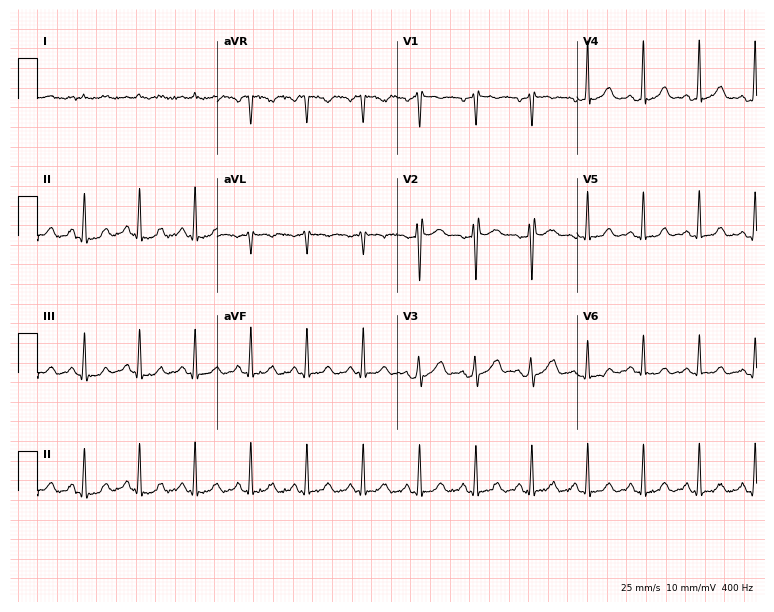
12-lead ECG from a woman, 55 years old. Screened for six findings — first-degree AV block, right bundle branch block (RBBB), left bundle branch block (LBBB), sinus bradycardia, atrial fibrillation (AF), sinus tachycardia — none is recorded.